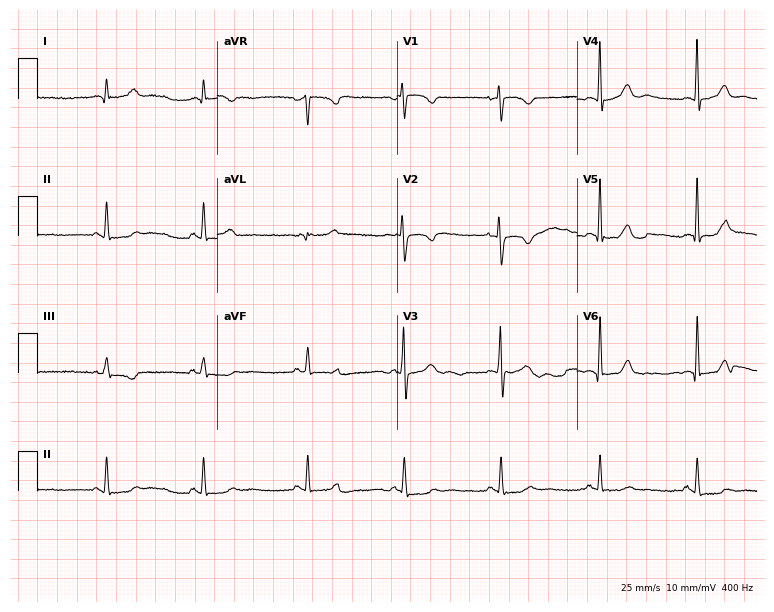
12-lead ECG (7.3-second recording at 400 Hz) from a female, 27 years old. Labelled as a normal ECG.